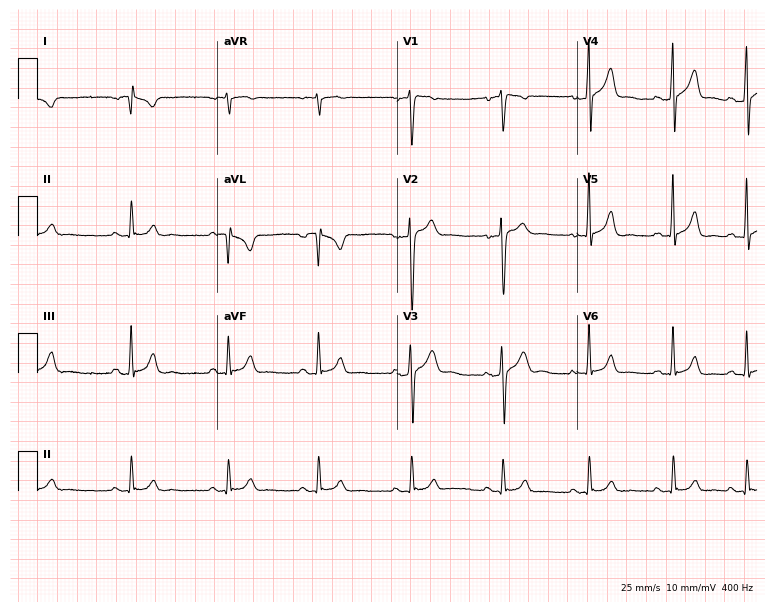
ECG — a 21-year-old man. Screened for six findings — first-degree AV block, right bundle branch block, left bundle branch block, sinus bradycardia, atrial fibrillation, sinus tachycardia — none is recorded. Findings outside these six are not listed.